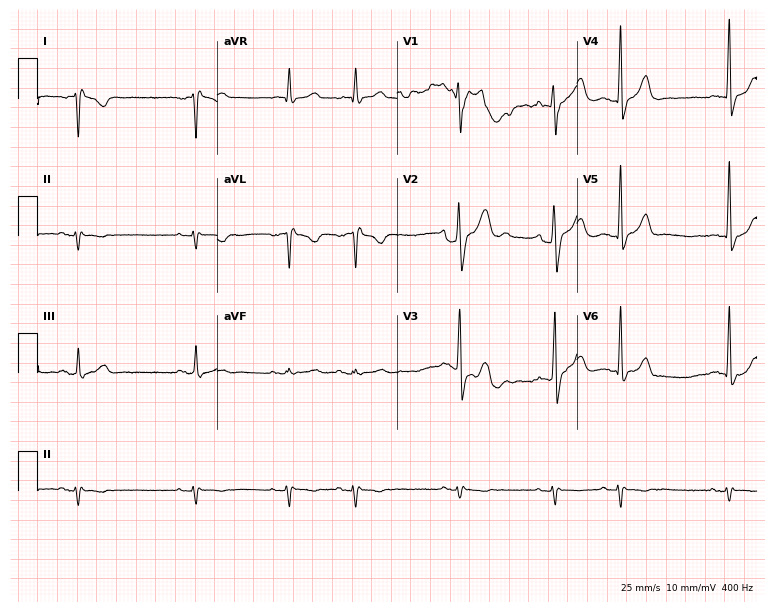
Resting 12-lead electrocardiogram (7.3-second recording at 400 Hz). Patient: a male, 68 years old. None of these six findings is recorded: first-degree AV block, right bundle branch block, left bundle branch block, sinus bradycardia, atrial fibrillation, sinus tachycardia. Only these six findings were labelled.